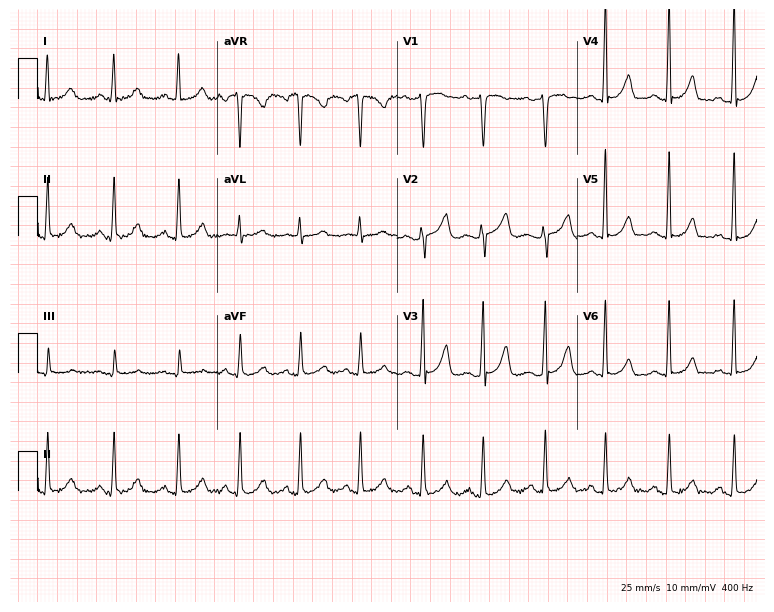
Standard 12-lead ECG recorded from a 46-year-old female patient (7.3-second recording at 400 Hz). Read as a normal ECG.